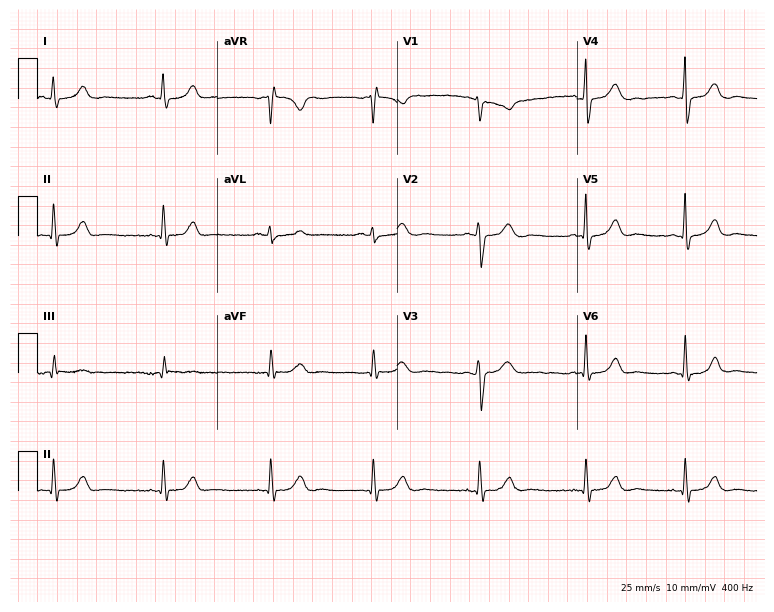
12-lead ECG from a female, 46 years old. Labelled as a normal ECG.